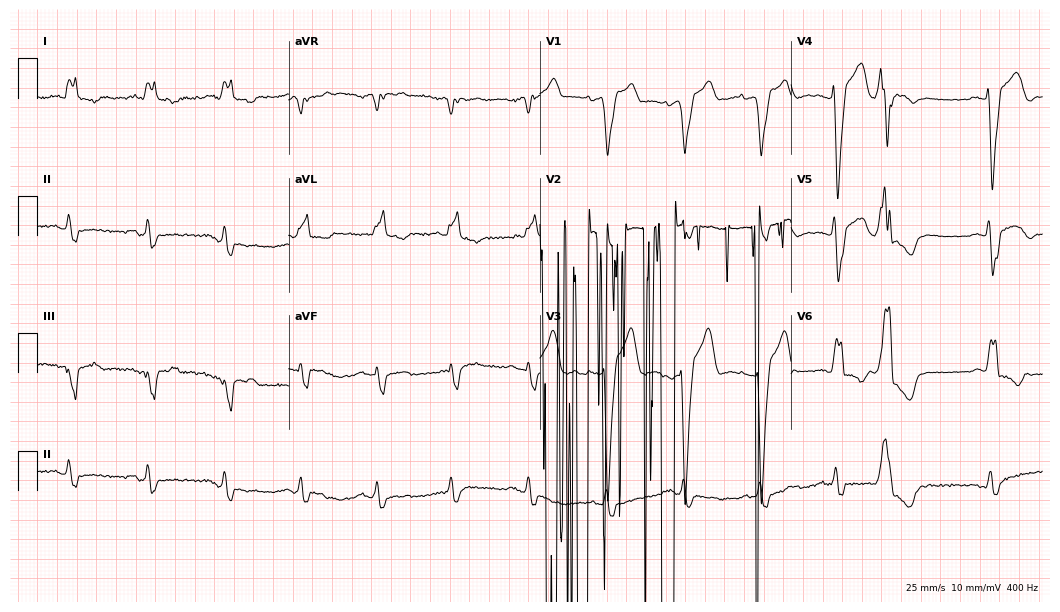
12-lead ECG (10.2-second recording at 400 Hz) from a 77-year-old male. Screened for six findings — first-degree AV block, right bundle branch block (RBBB), left bundle branch block (LBBB), sinus bradycardia, atrial fibrillation (AF), sinus tachycardia — none is recorded. Other findings, if any, are not listed.